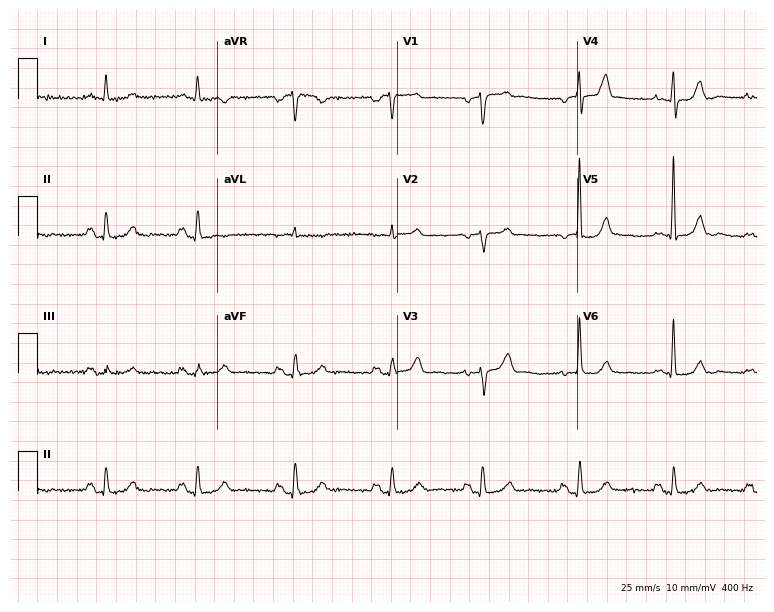
ECG (7.3-second recording at 400 Hz) — a 58-year-old female. Screened for six findings — first-degree AV block, right bundle branch block, left bundle branch block, sinus bradycardia, atrial fibrillation, sinus tachycardia — none is recorded. Only these six findings were labelled.